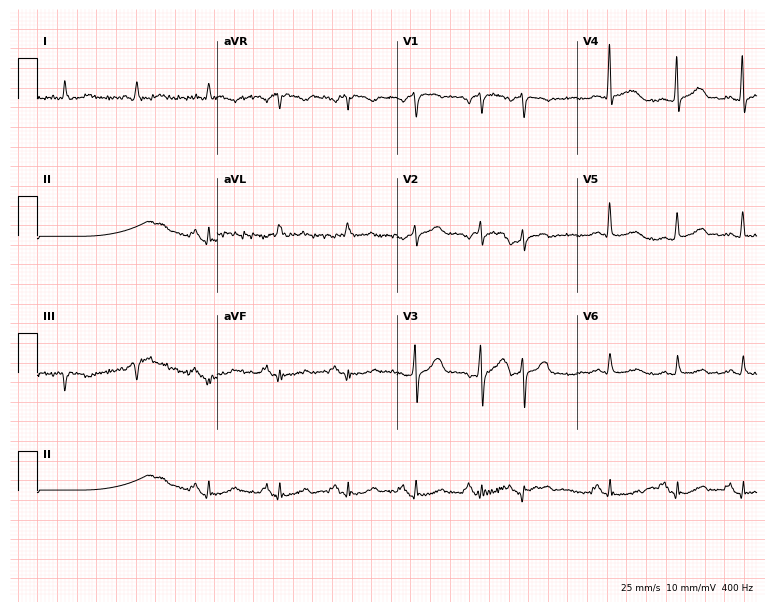
ECG — a 68-year-old man. Screened for six findings — first-degree AV block, right bundle branch block (RBBB), left bundle branch block (LBBB), sinus bradycardia, atrial fibrillation (AF), sinus tachycardia — none is recorded.